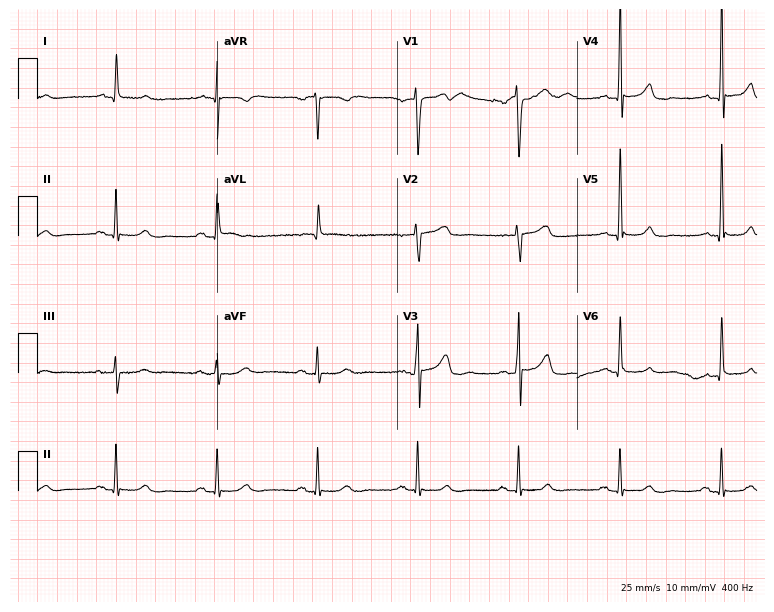
Standard 12-lead ECG recorded from a man, 80 years old. None of these six findings is recorded: first-degree AV block, right bundle branch block, left bundle branch block, sinus bradycardia, atrial fibrillation, sinus tachycardia.